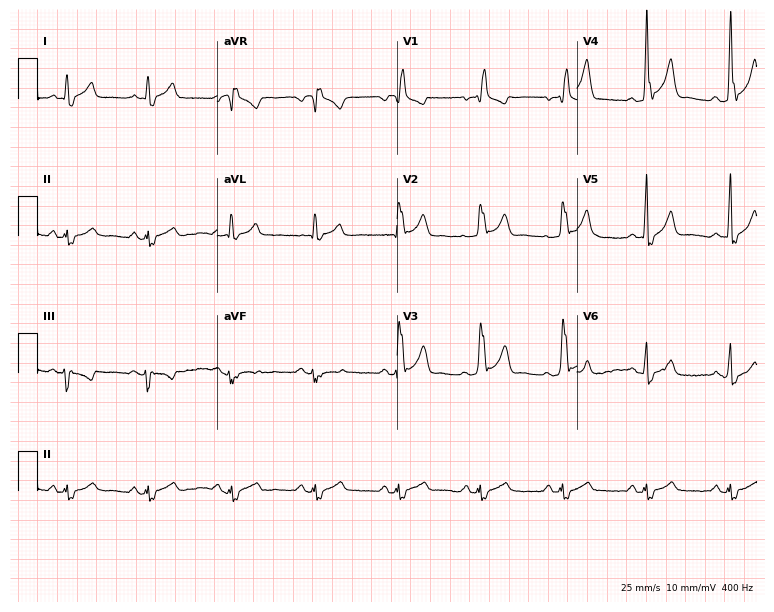
12-lead ECG from a male patient, 55 years old (7.3-second recording at 400 Hz). Shows right bundle branch block.